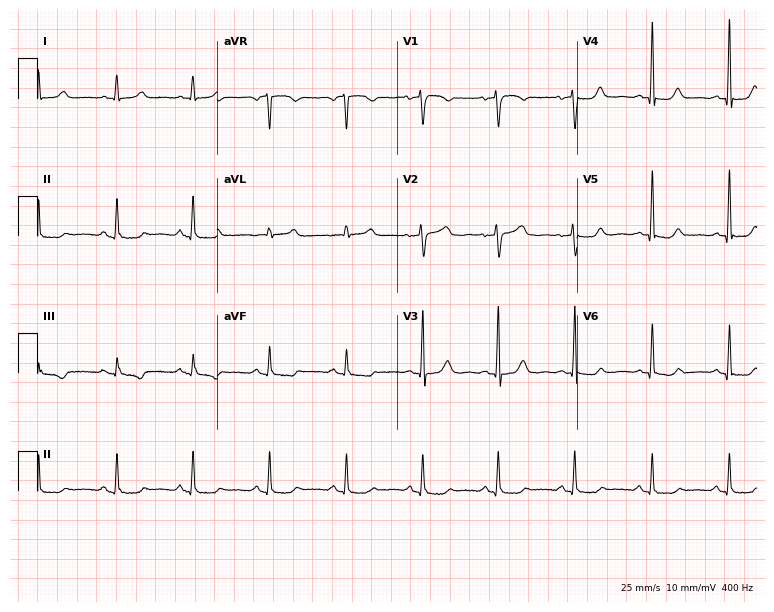
12-lead ECG from a 66-year-old woman. Recorded interpretation: within normal limits.